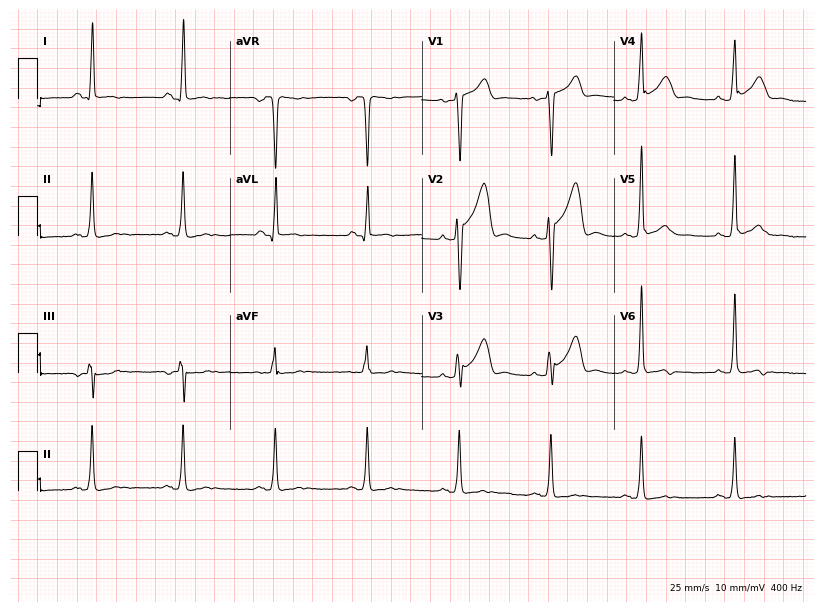
Electrocardiogram, a 27-year-old male. Of the six screened findings (first-degree AV block, right bundle branch block, left bundle branch block, sinus bradycardia, atrial fibrillation, sinus tachycardia), none is recorded. Only these six findings were labelled.